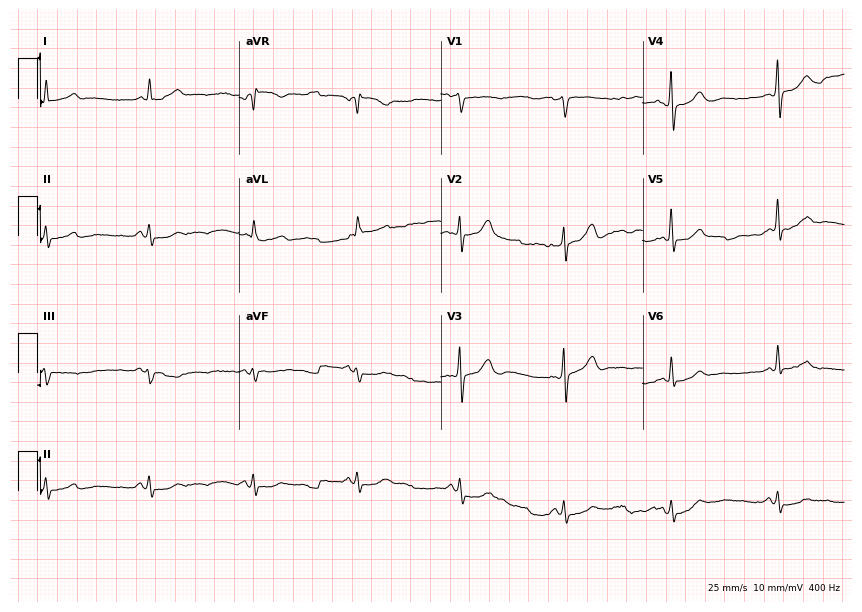
Resting 12-lead electrocardiogram (8.2-second recording at 400 Hz). Patient: a 74-year-old man. Read as a normal ECG.